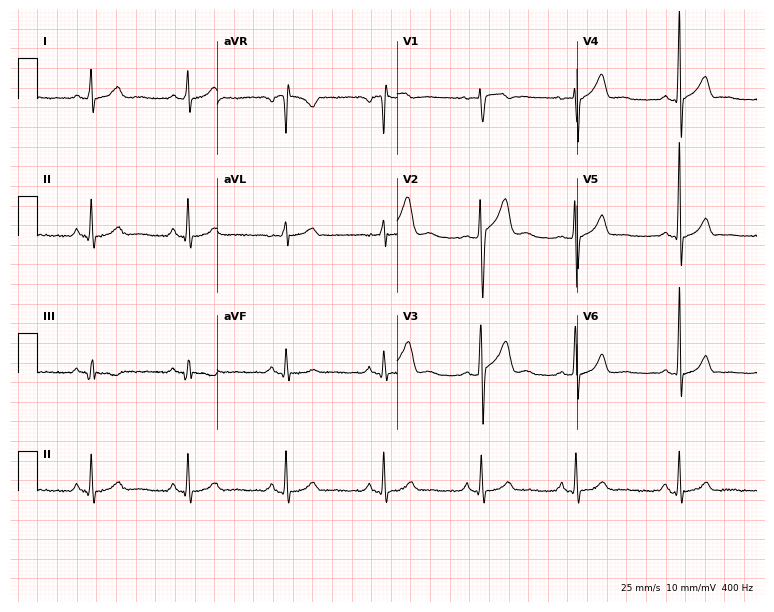
12-lead ECG (7.3-second recording at 400 Hz) from a 25-year-old male patient. Labelled as a normal ECG.